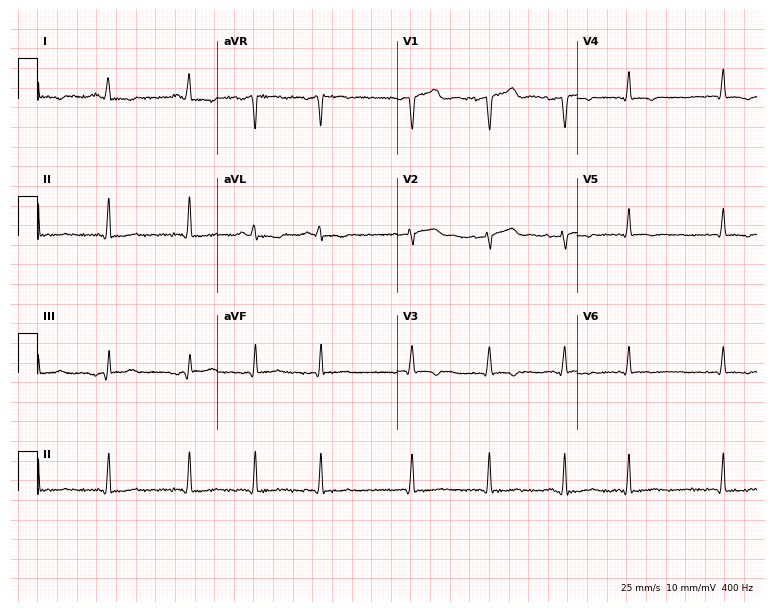
Standard 12-lead ECG recorded from a 68-year-old female patient. None of these six findings is recorded: first-degree AV block, right bundle branch block, left bundle branch block, sinus bradycardia, atrial fibrillation, sinus tachycardia. Other findings, if any, are not listed.